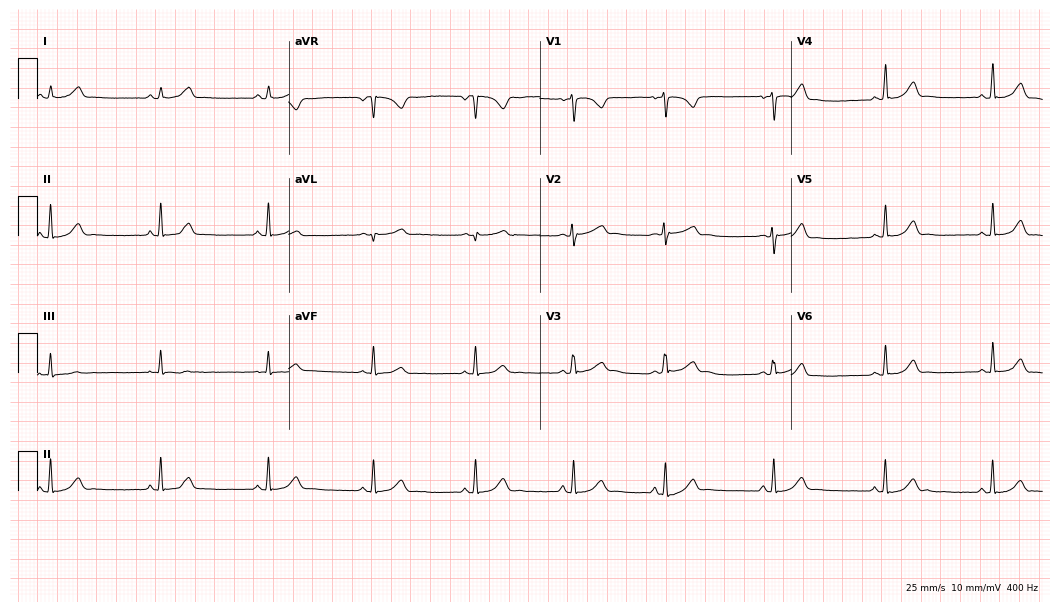
Standard 12-lead ECG recorded from a woman, 19 years old (10.2-second recording at 400 Hz). Read as a normal ECG.